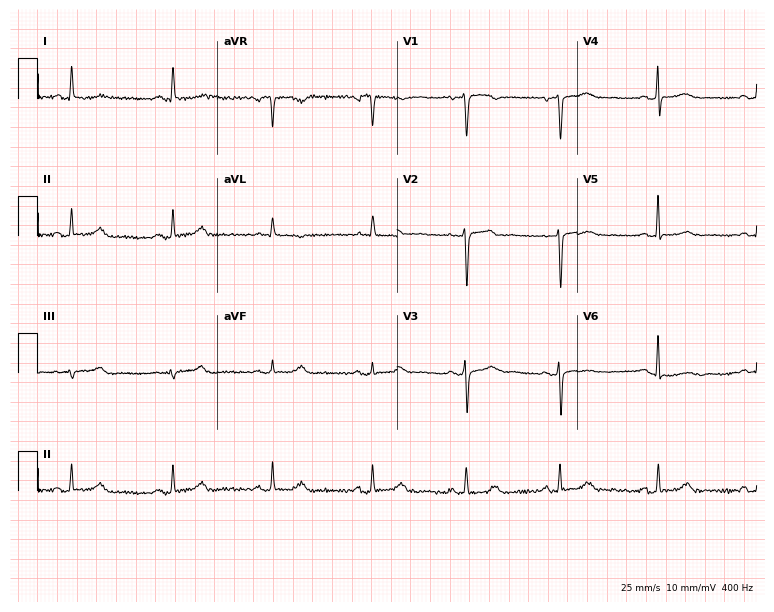
Electrocardiogram, a 60-year-old woman. Of the six screened findings (first-degree AV block, right bundle branch block, left bundle branch block, sinus bradycardia, atrial fibrillation, sinus tachycardia), none is recorded.